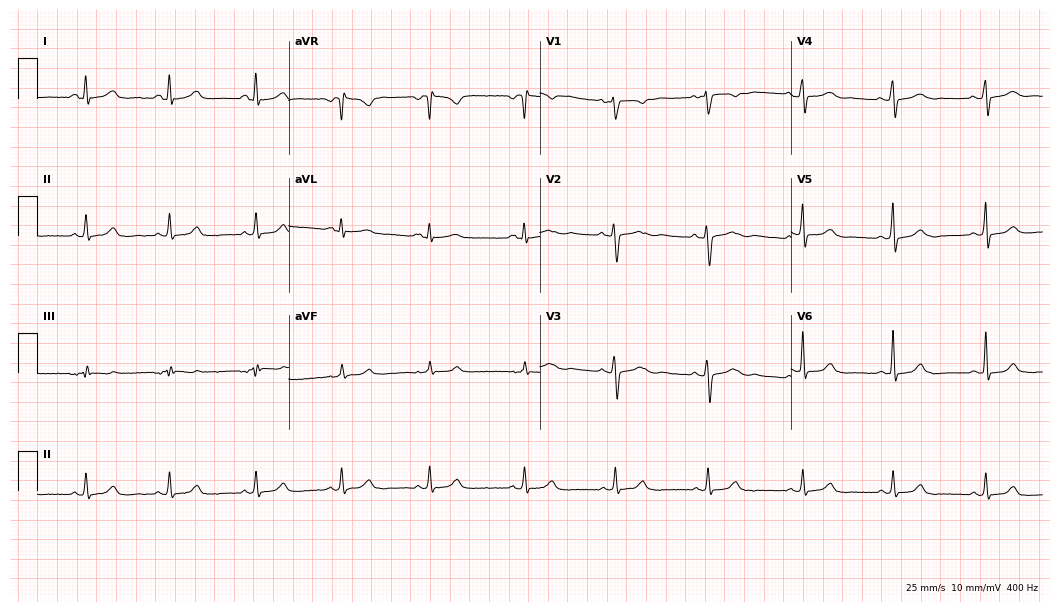
12-lead ECG from a 30-year-old woman. Recorded interpretation: within normal limits.